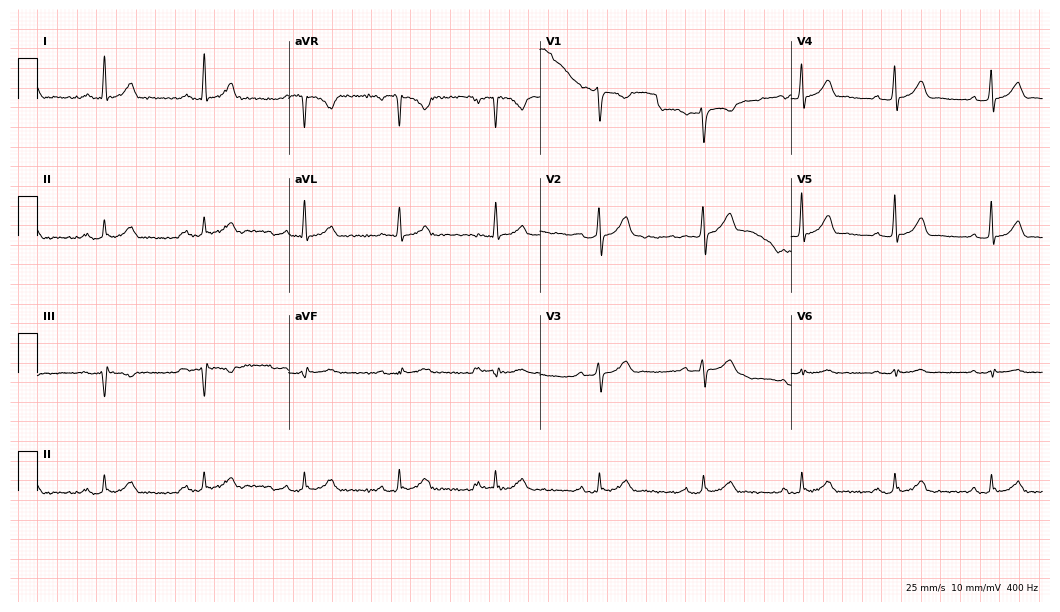
12-lead ECG from a 45-year-old male patient. Screened for six findings — first-degree AV block, right bundle branch block, left bundle branch block, sinus bradycardia, atrial fibrillation, sinus tachycardia — none is recorded.